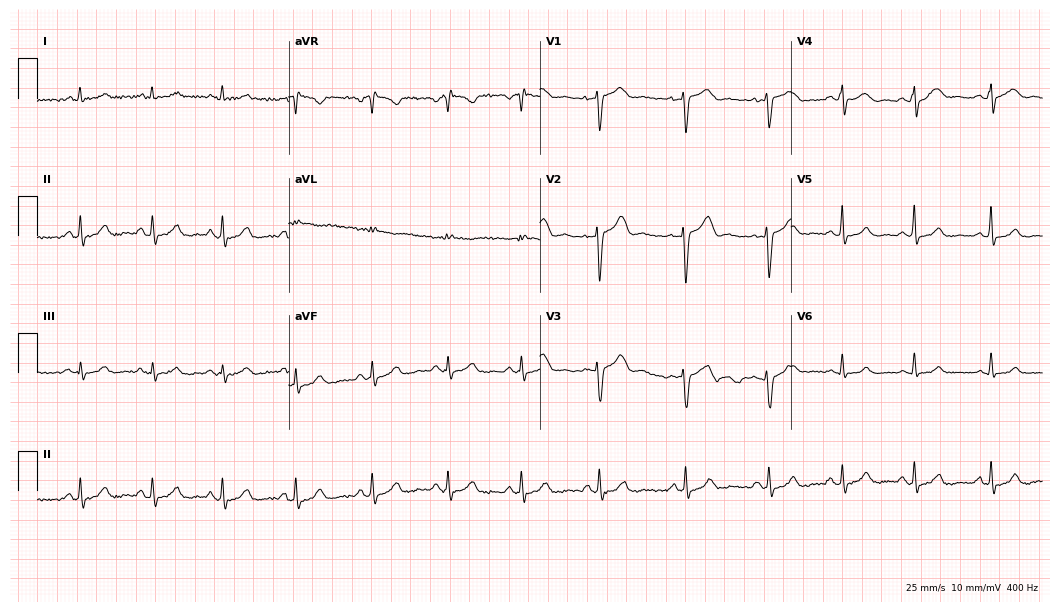
12-lead ECG from a woman, 29 years old. Recorded interpretation: within normal limits.